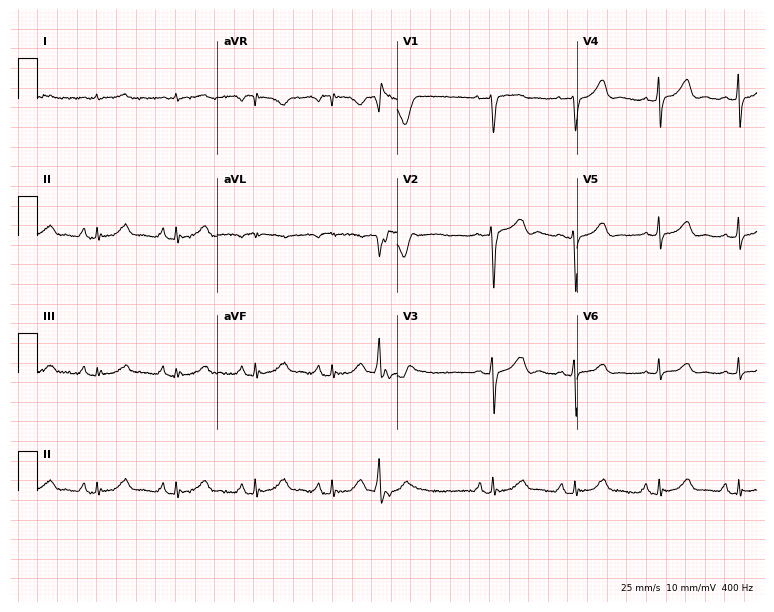
ECG (7.3-second recording at 400 Hz) — a man, 81 years old. Screened for six findings — first-degree AV block, right bundle branch block, left bundle branch block, sinus bradycardia, atrial fibrillation, sinus tachycardia — none is recorded.